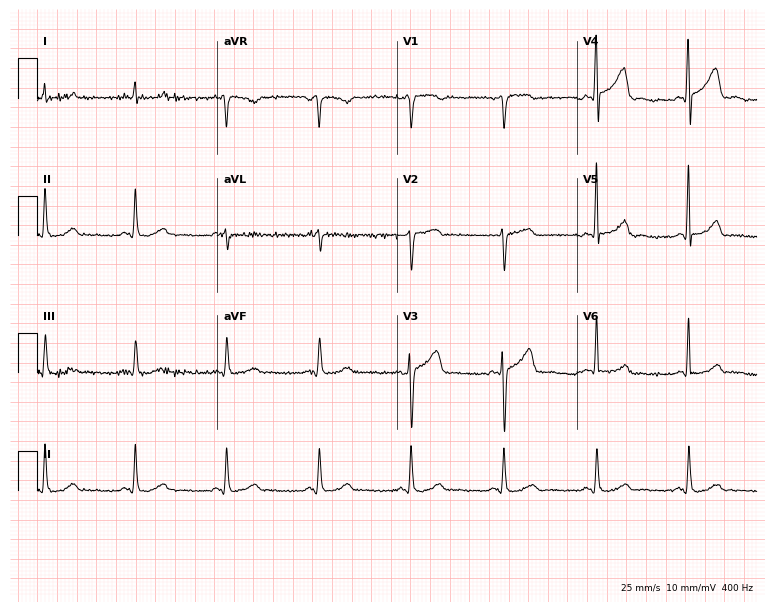
12-lead ECG from a 69-year-old male. Recorded interpretation: within normal limits.